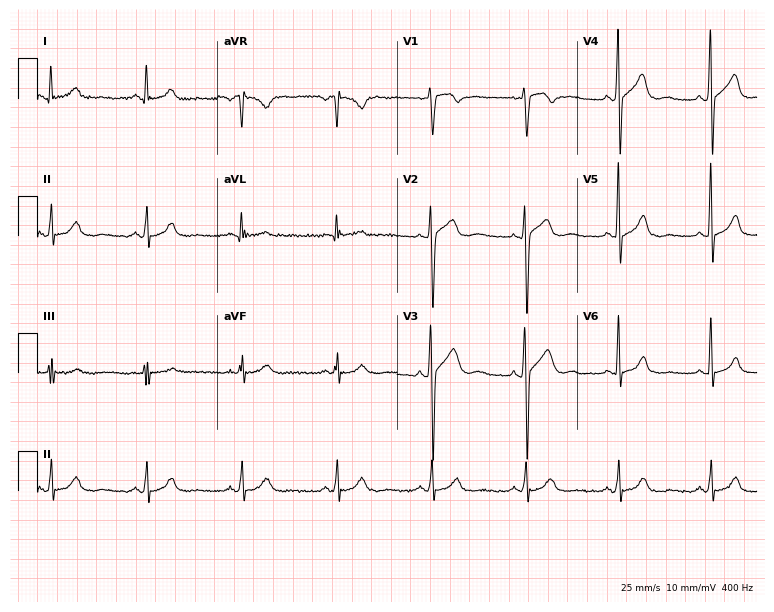
Electrocardiogram, a male, 57 years old. Of the six screened findings (first-degree AV block, right bundle branch block, left bundle branch block, sinus bradycardia, atrial fibrillation, sinus tachycardia), none is recorded. Only these six findings were labelled.